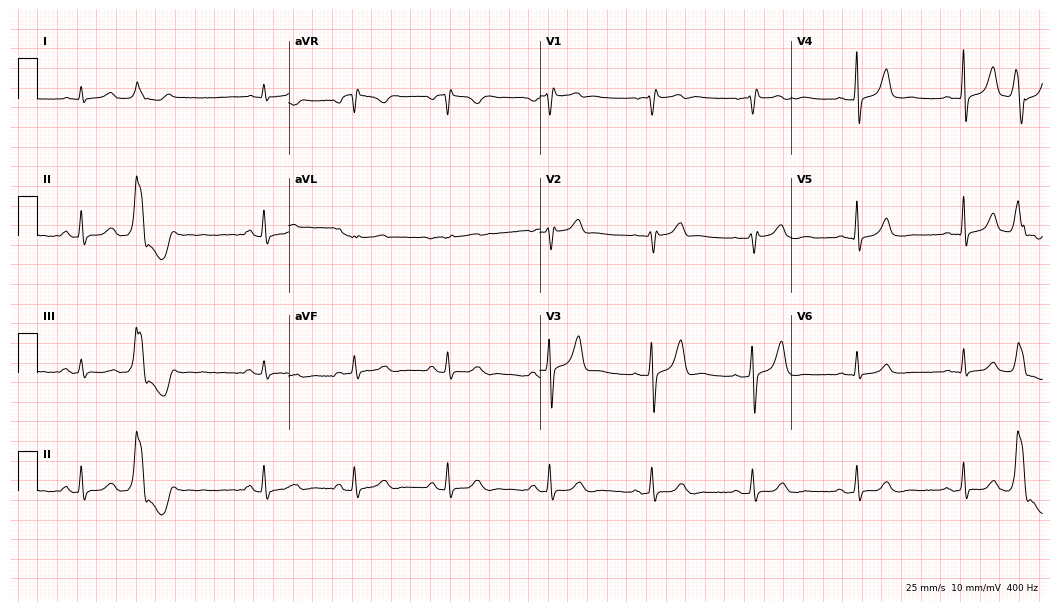
12-lead ECG (10.2-second recording at 400 Hz) from a male, 64 years old. Screened for six findings — first-degree AV block, right bundle branch block, left bundle branch block, sinus bradycardia, atrial fibrillation, sinus tachycardia — none is recorded.